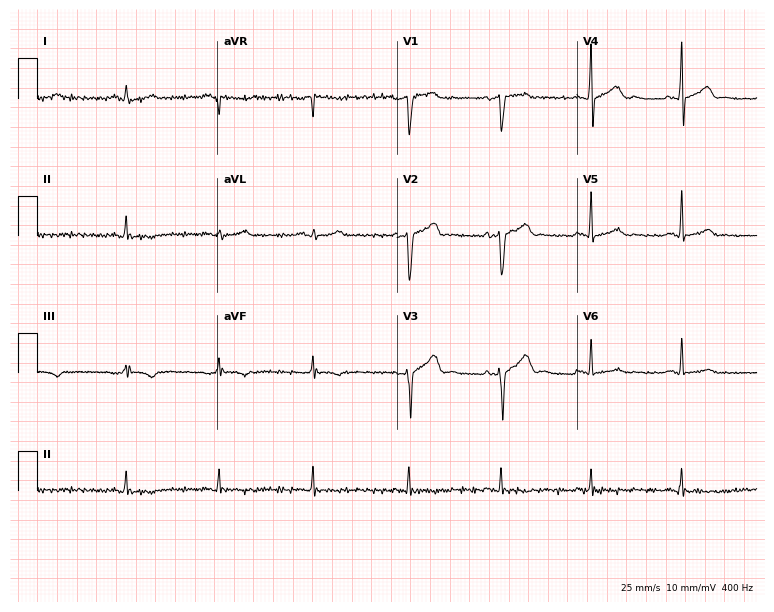
Standard 12-lead ECG recorded from a man, 49 years old (7.3-second recording at 400 Hz). None of these six findings is recorded: first-degree AV block, right bundle branch block, left bundle branch block, sinus bradycardia, atrial fibrillation, sinus tachycardia. Findings outside these six are not listed.